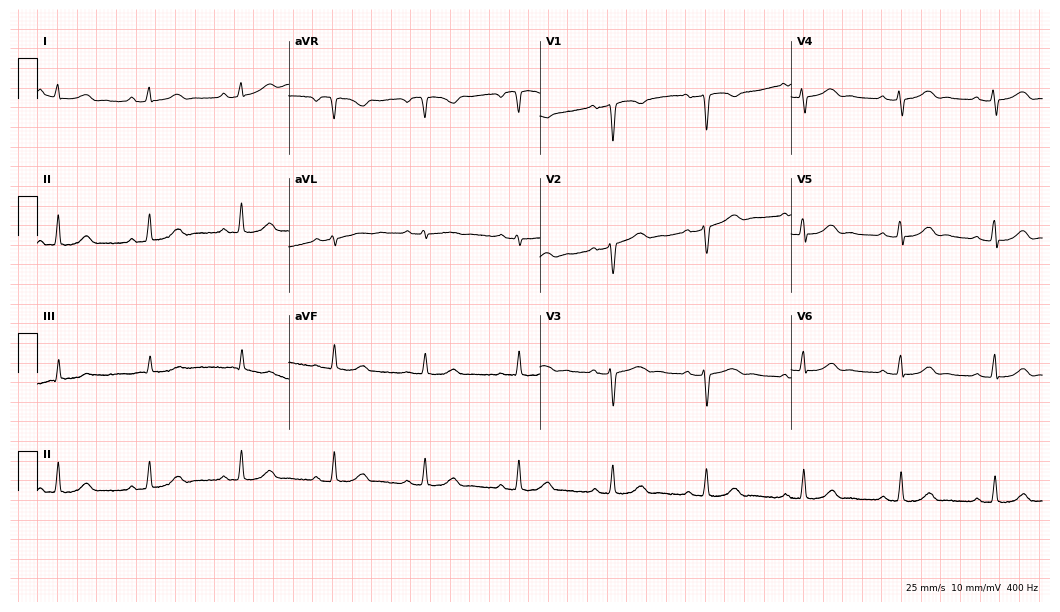
12-lead ECG from a 40-year-old female patient (10.2-second recording at 400 Hz). Recorded interpretation: within normal limits.